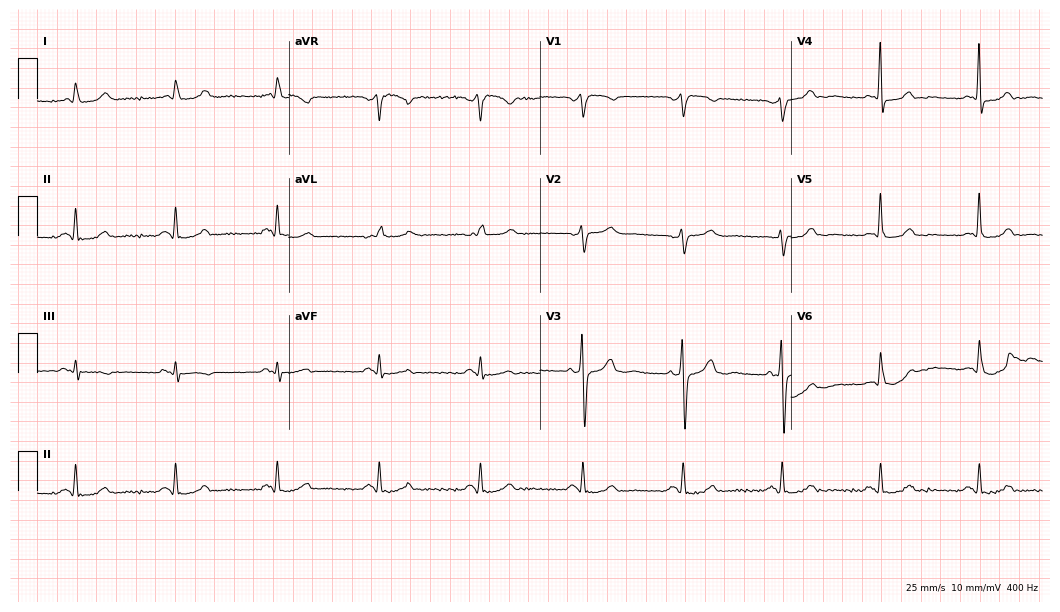
12-lead ECG from a female patient, 70 years old (10.2-second recording at 400 Hz). Recorded interpretation: within normal limits.